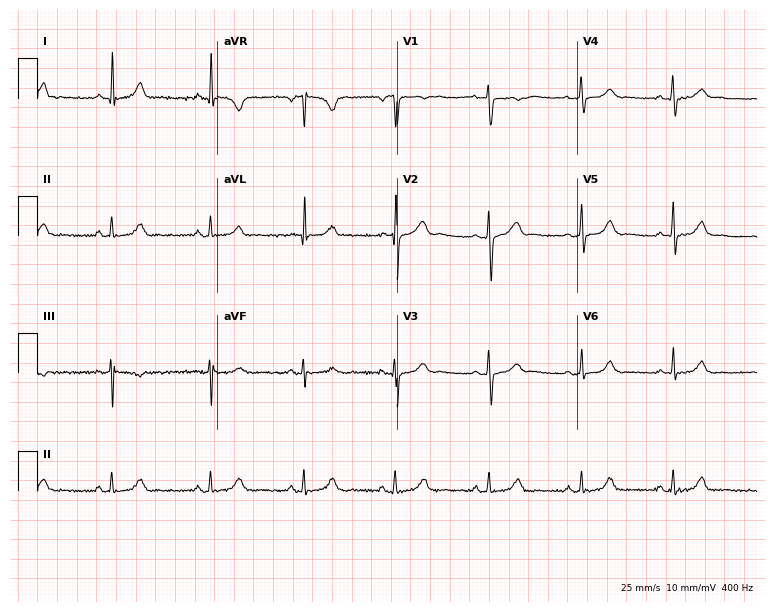
12-lead ECG from a 44-year-old female. Recorded interpretation: within normal limits.